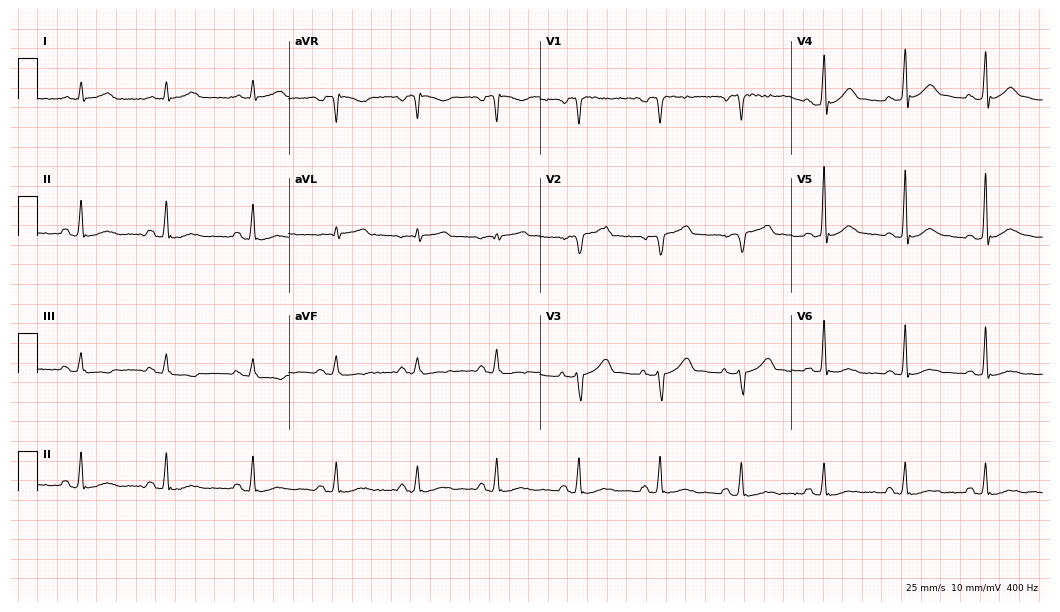
Resting 12-lead electrocardiogram. Patient: a 61-year-old male. None of these six findings is recorded: first-degree AV block, right bundle branch block (RBBB), left bundle branch block (LBBB), sinus bradycardia, atrial fibrillation (AF), sinus tachycardia.